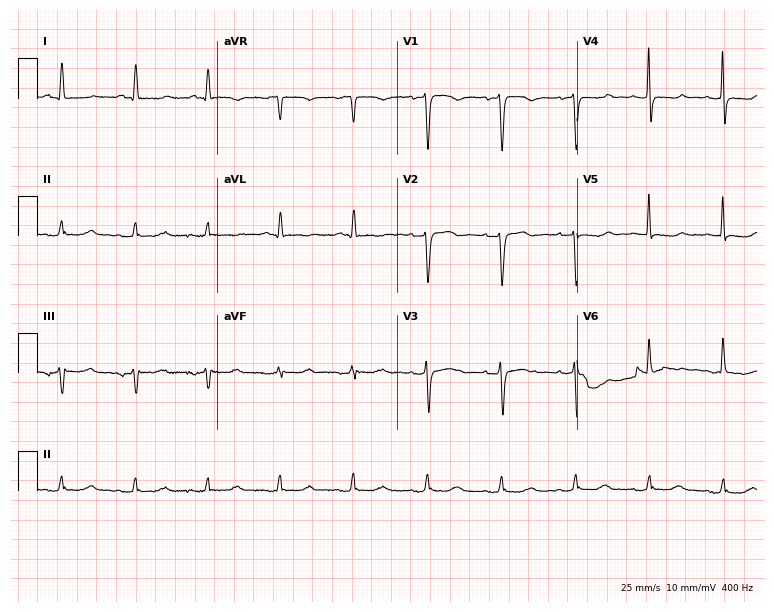
12-lead ECG from a female patient, 71 years old. Screened for six findings — first-degree AV block, right bundle branch block, left bundle branch block, sinus bradycardia, atrial fibrillation, sinus tachycardia — none is recorded. Findings outside these six are not listed.